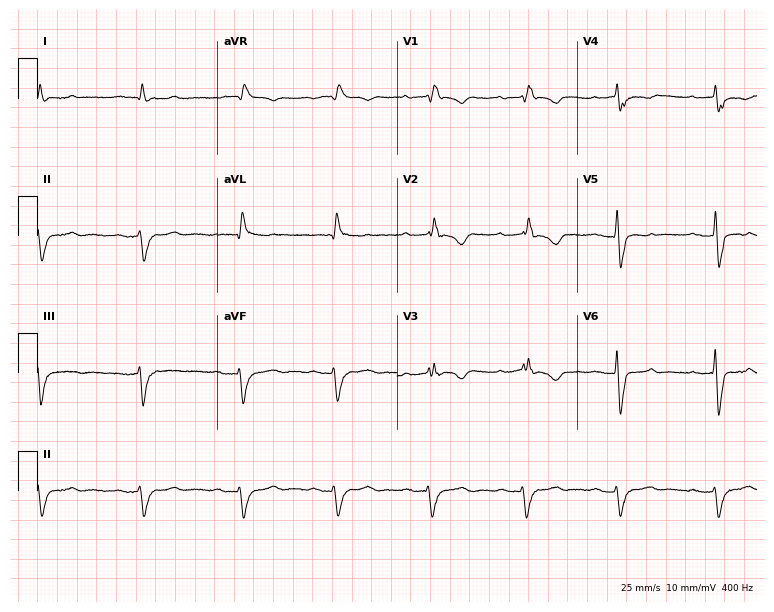
Standard 12-lead ECG recorded from a 75-year-old man (7.3-second recording at 400 Hz). The tracing shows first-degree AV block, right bundle branch block.